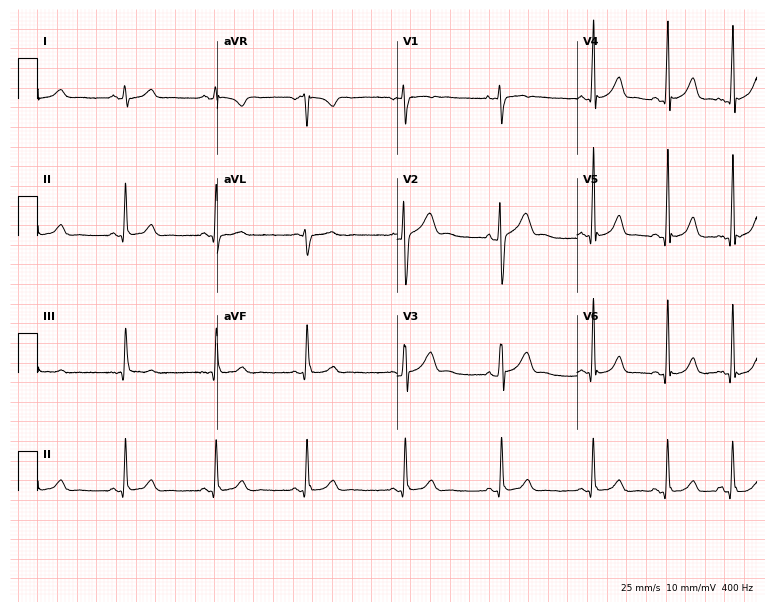
Electrocardiogram (7.3-second recording at 400 Hz), a male patient, 20 years old. Overall reading on record: normal ECG.